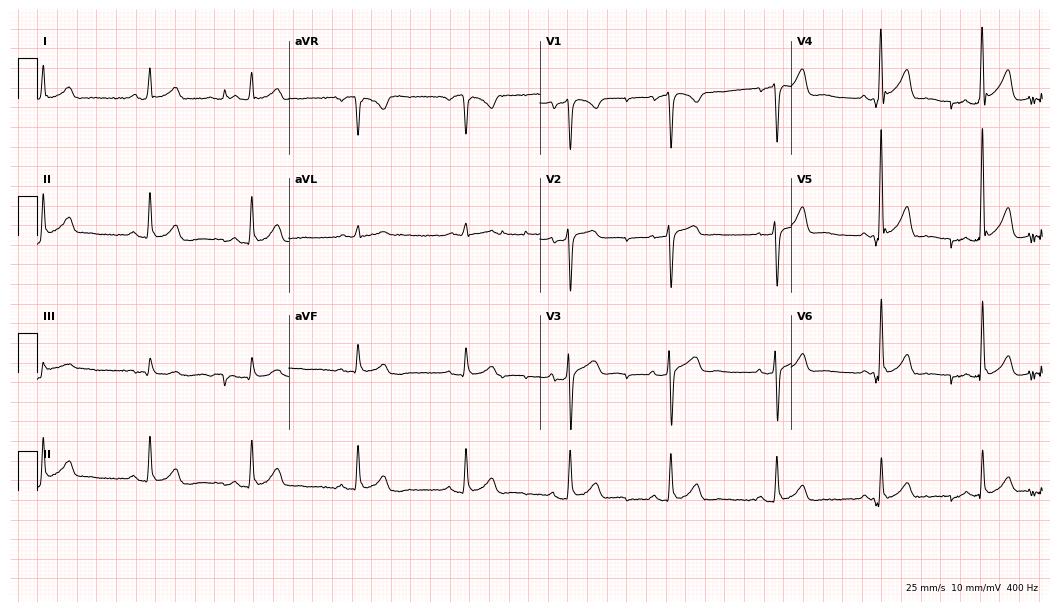
Standard 12-lead ECG recorded from a 43-year-old male (10.2-second recording at 400 Hz). None of these six findings is recorded: first-degree AV block, right bundle branch block (RBBB), left bundle branch block (LBBB), sinus bradycardia, atrial fibrillation (AF), sinus tachycardia. Findings outside these six are not listed.